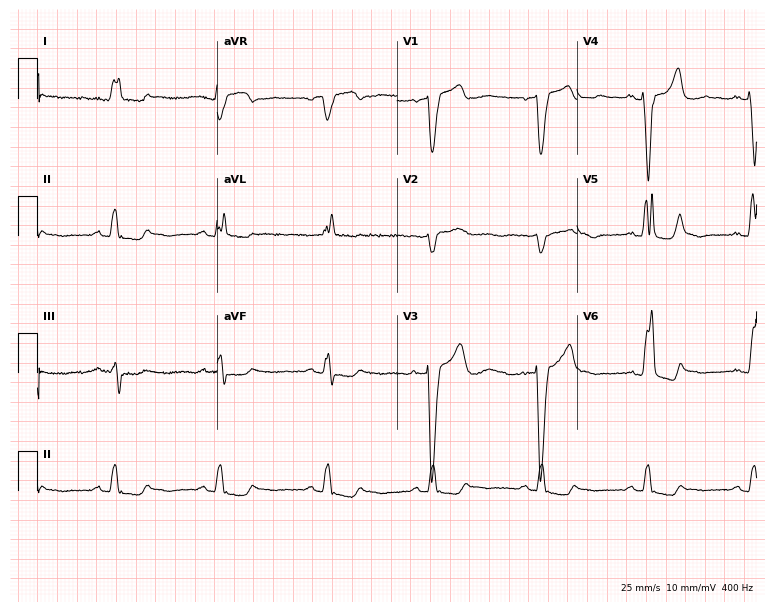
Resting 12-lead electrocardiogram. Patient: an 85-year-old female. The tracing shows left bundle branch block.